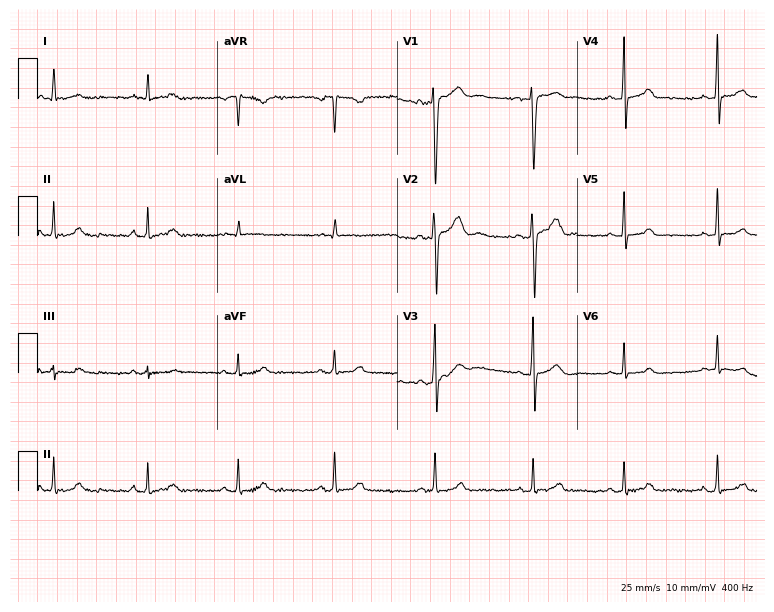
Electrocardiogram, a male, 19 years old. Of the six screened findings (first-degree AV block, right bundle branch block, left bundle branch block, sinus bradycardia, atrial fibrillation, sinus tachycardia), none is recorded.